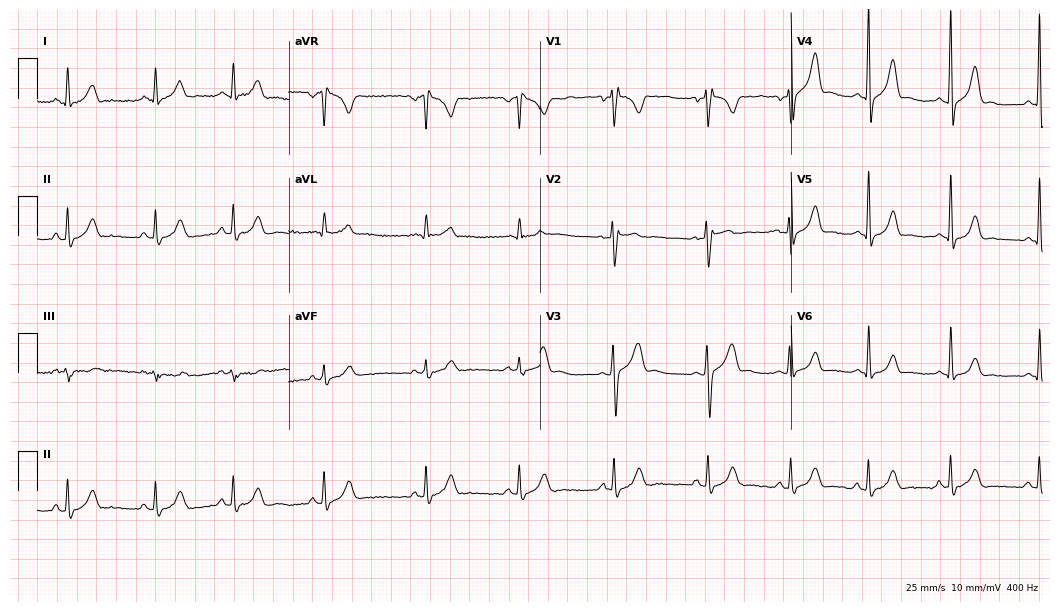
Standard 12-lead ECG recorded from an 18-year-old man. None of these six findings is recorded: first-degree AV block, right bundle branch block (RBBB), left bundle branch block (LBBB), sinus bradycardia, atrial fibrillation (AF), sinus tachycardia.